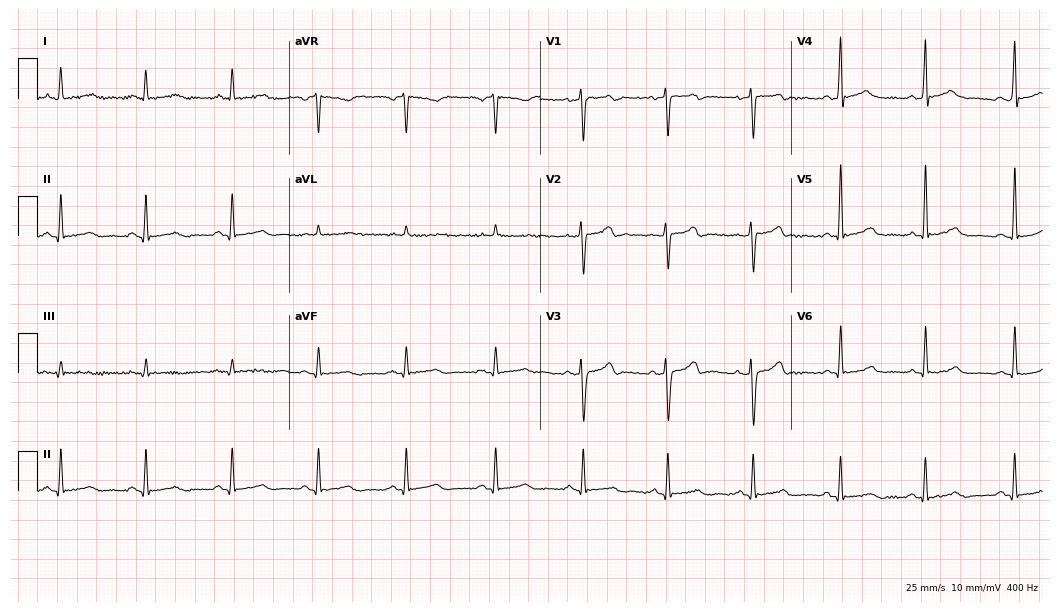
ECG — a 51-year-old male. Labelled as a normal ECG.